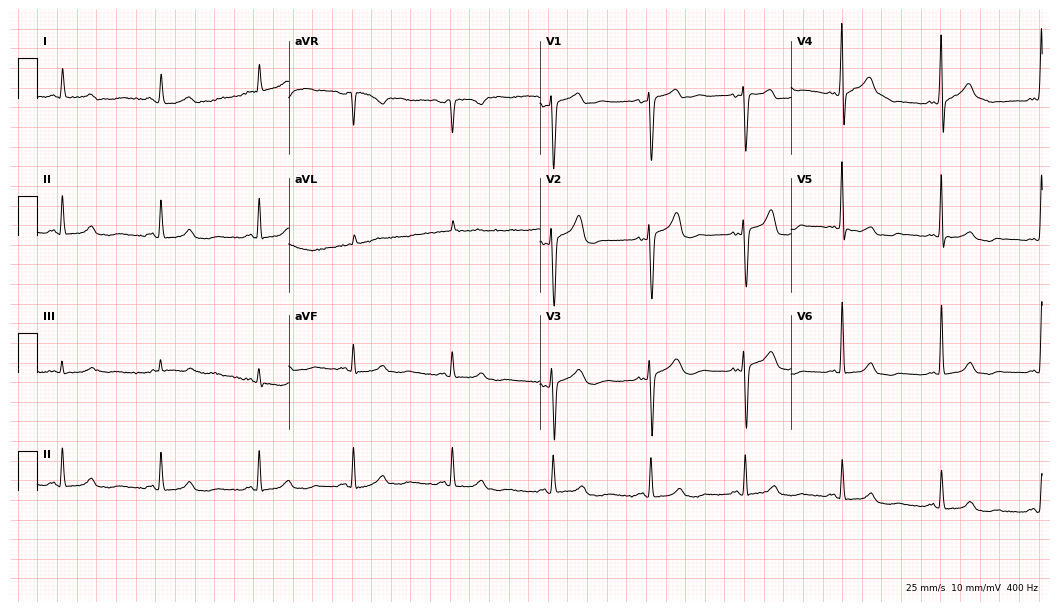
Standard 12-lead ECG recorded from a woman, 65 years old. Read as a normal ECG.